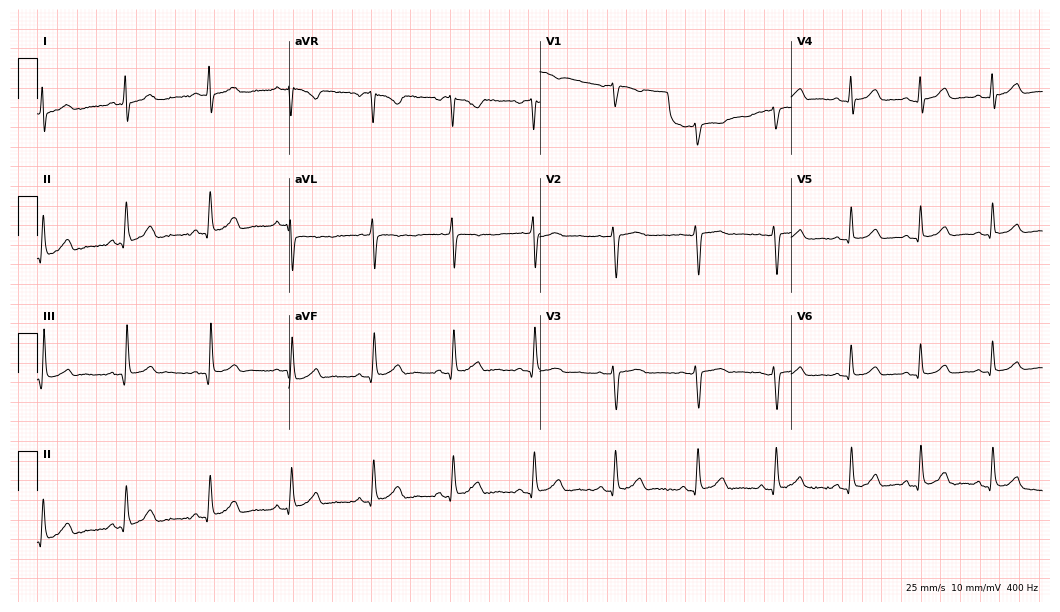
ECG — a 47-year-old female. Labelled as a normal ECG.